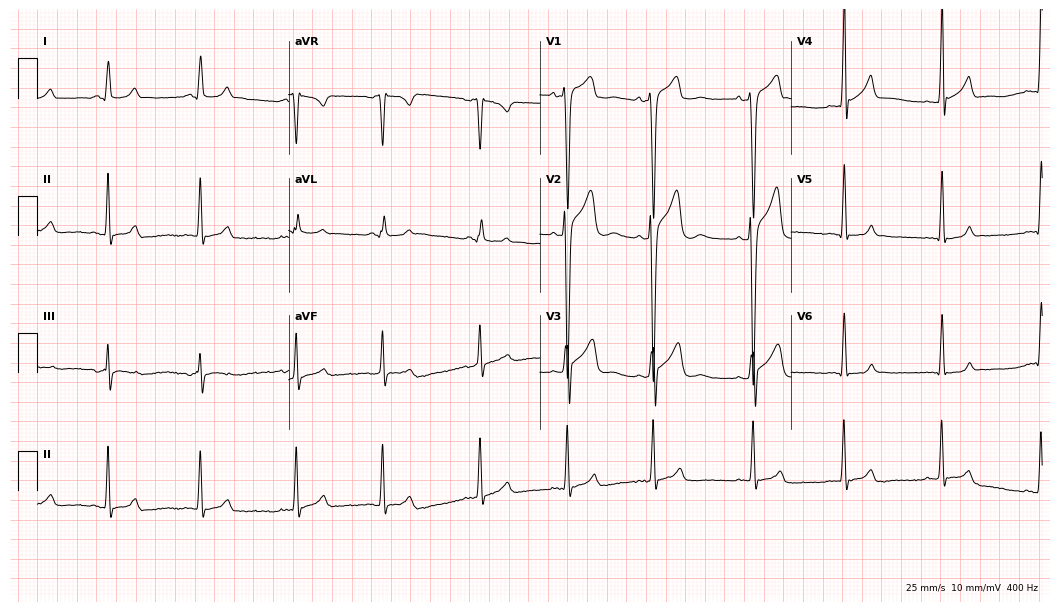
ECG — an 18-year-old male patient. Labelled as a normal ECG.